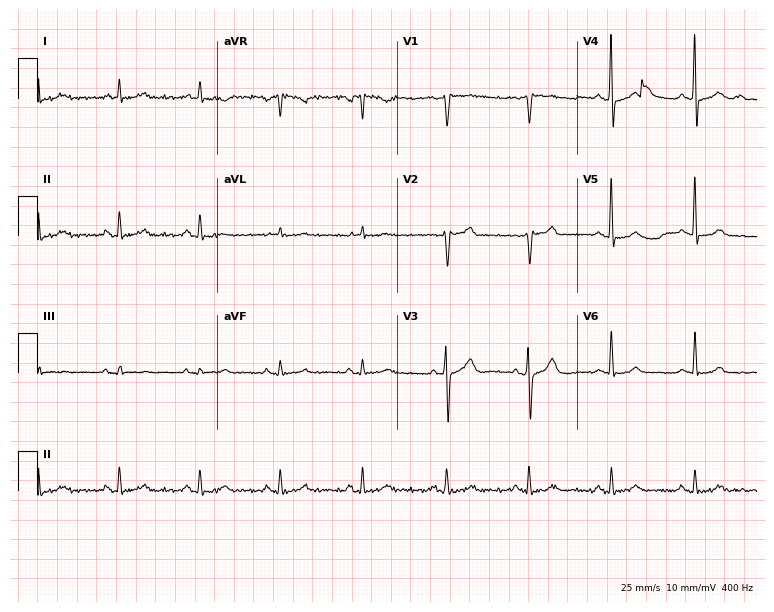
12-lead ECG from a man, 66 years old. Labelled as a normal ECG.